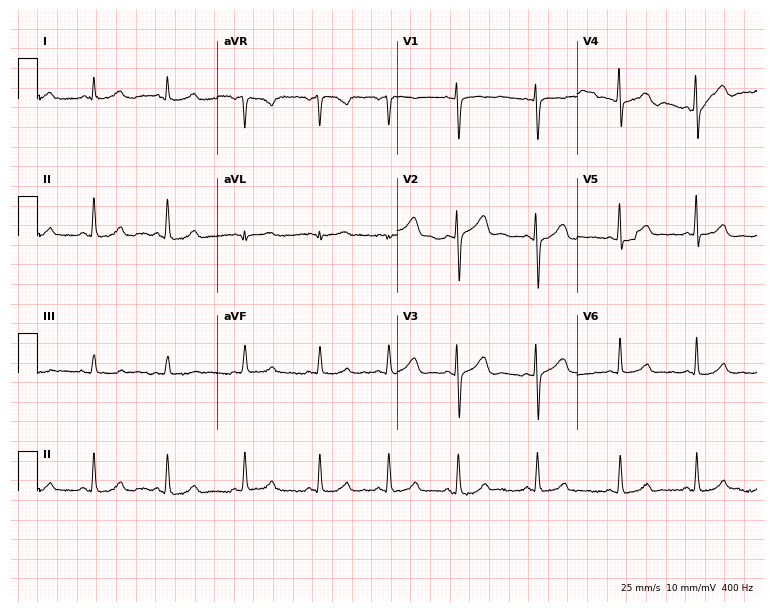
Standard 12-lead ECG recorded from a female, 43 years old (7.3-second recording at 400 Hz). None of these six findings is recorded: first-degree AV block, right bundle branch block (RBBB), left bundle branch block (LBBB), sinus bradycardia, atrial fibrillation (AF), sinus tachycardia. Other findings, if any, are not listed.